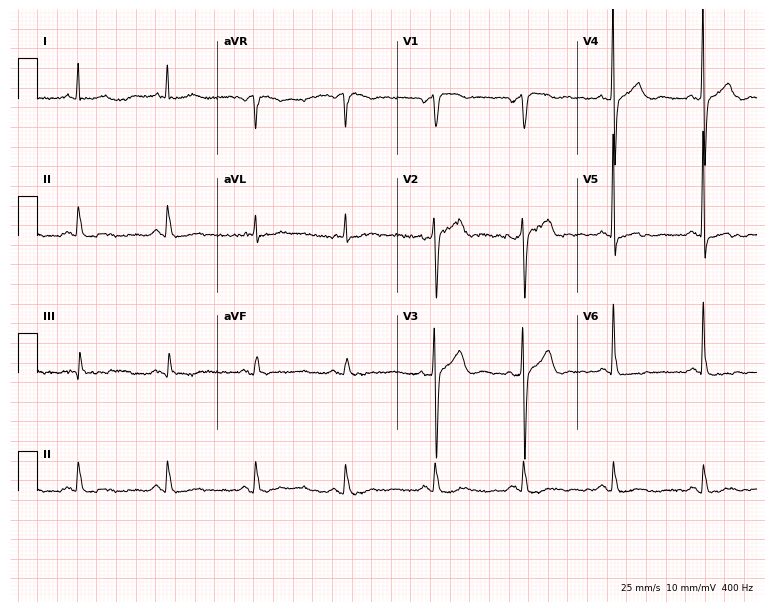
12-lead ECG from a 73-year-old male patient (7.3-second recording at 400 Hz). No first-degree AV block, right bundle branch block, left bundle branch block, sinus bradycardia, atrial fibrillation or sinus tachycardia recorded for this tracing. Findings outside these six are not listed.